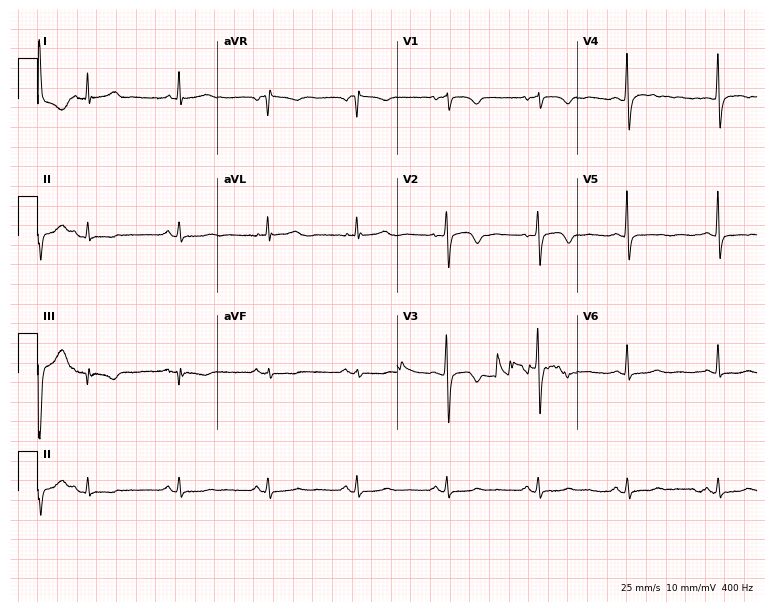
12-lead ECG from a female, 64 years old (7.3-second recording at 400 Hz). No first-degree AV block, right bundle branch block, left bundle branch block, sinus bradycardia, atrial fibrillation or sinus tachycardia recorded for this tracing.